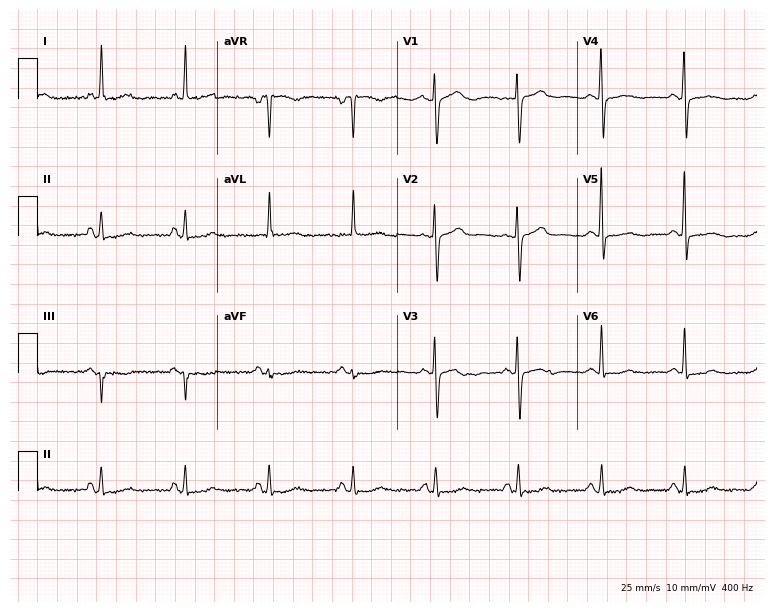
ECG (7.3-second recording at 400 Hz) — a 61-year-old female. Screened for six findings — first-degree AV block, right bundle branch block (RBBB), left bundle branch block (LBBB), sinus bradycardia, atrial fibrillation (AF), sinus tachycardia — none is recorded.